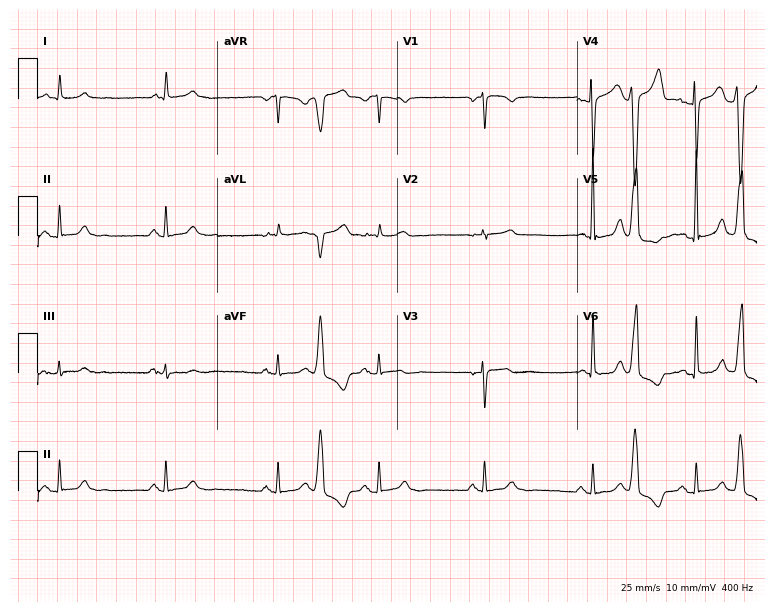
12-lead ECG from a woman, 65 years old. No first-degree AV block, right bundle branch block (RBBB), left bundle branch block (LBBB), sinus bradycardia, atrial fibrillation (AF) or sinus tachycardia recorded for this tracing.